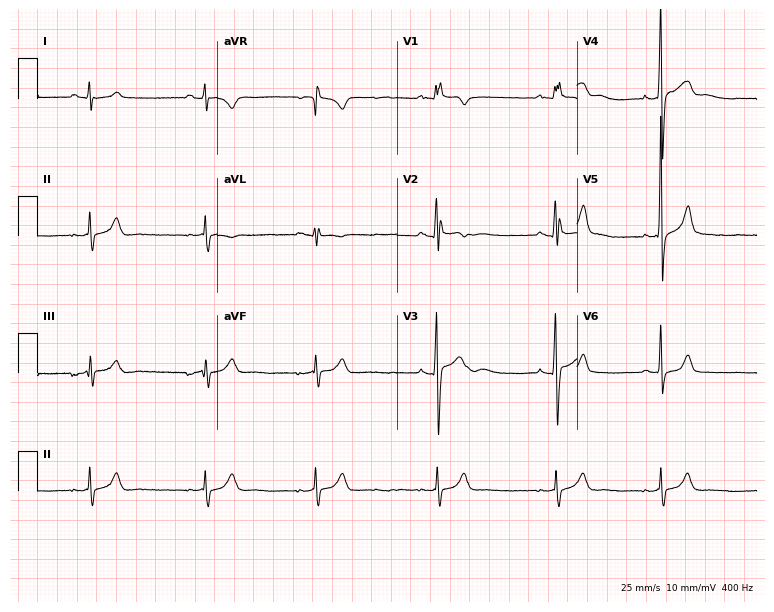
Electrocardiogram, a male, 18 years old. Of the six screened findings (first-degree AV block, right bundle branch block (RBBB), left bundle branch block (LBBB), sinus bradycardia, atrial fibrillation (AF), sinus tachycardia), none is recorded. Findings outside these six are not listed.